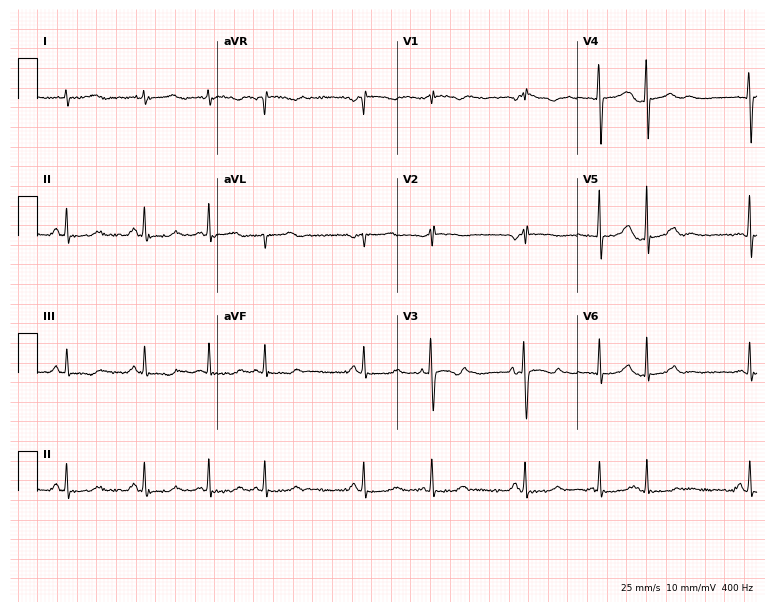
12-lead ECG from a 62-year-old female patient. Screened for six findings — first-degree AV block, right bundle branch block, left bundle branch block, sinus bradycardia, atrial fibrillation, sinus tachycardia — none is recorded. Findings outside these six are not listed.